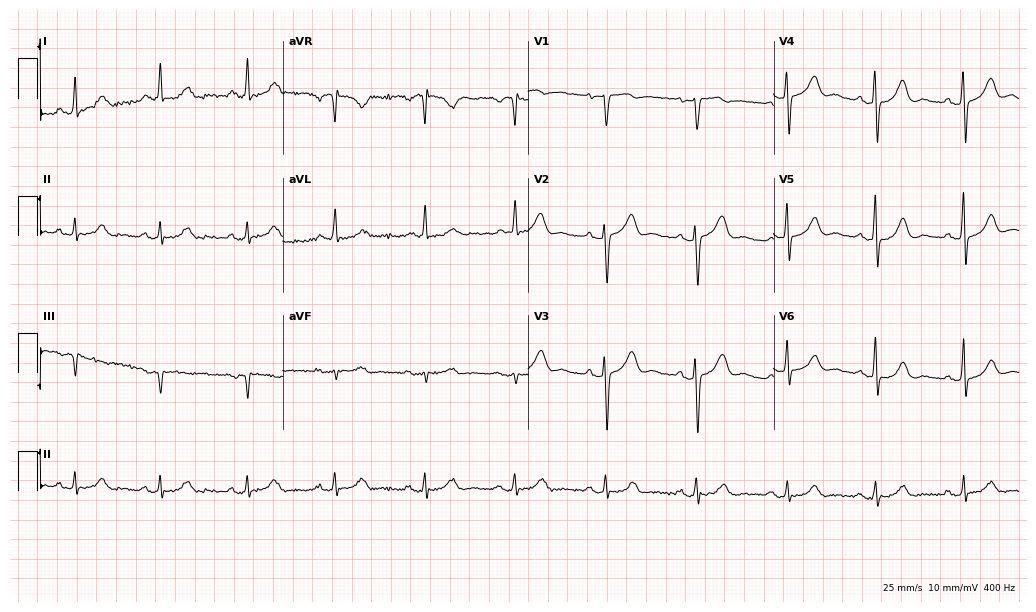
ECG (10-second recording at 400 Hz) — a 66-year-old female patient. Labelled as a normal ECG.